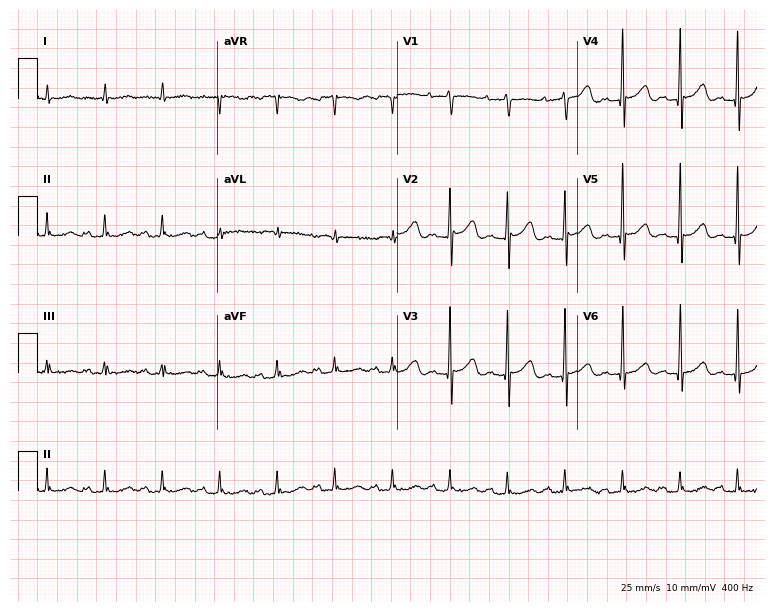
ECG (7.3-second recording at 400 Hz) — a female patient, 77 years old. Findings include sinus tachycardia (a sinus rate of 100 beats per minute or more).